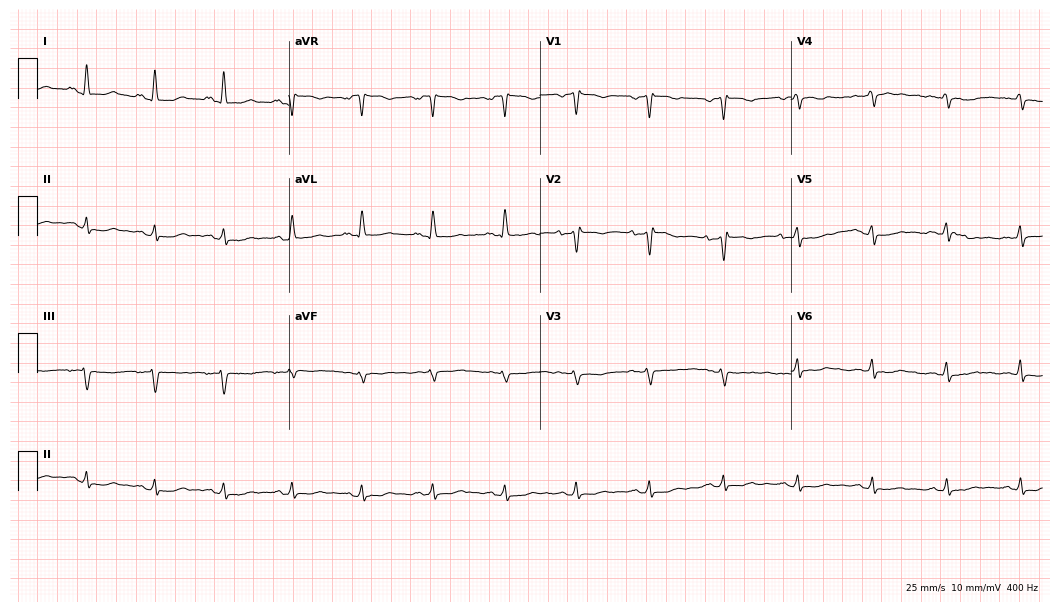
Standard 12-lead ECG recorded from a female, 49 years old (10.2-second recording at 400 Hz). None of these six findings is recorded: first-degree AV block, right bundle branch block, left bundle branch block, sinus bradycardia, atrial fibrillation, sinus tachycardia. Other findings, if any, are not listed.